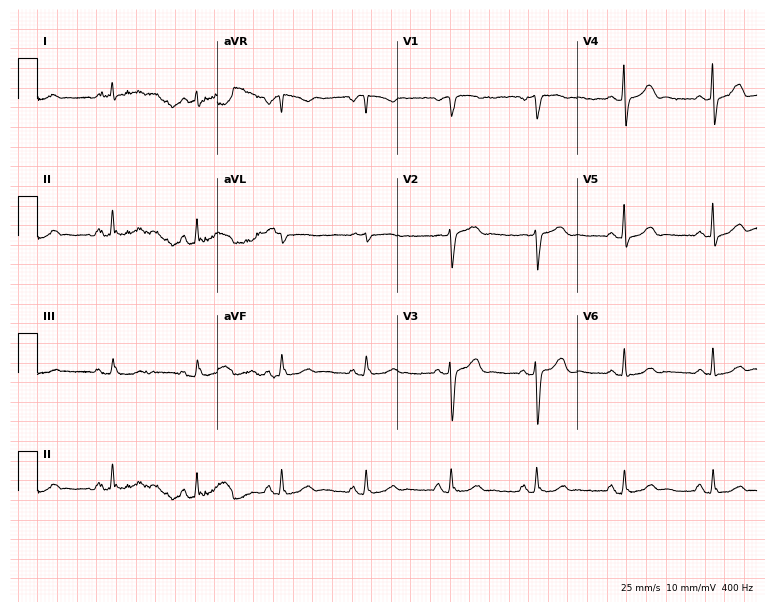
Standard 12-lead ECG recorded from a male patient, 71 years old. Read as a normal ECG.